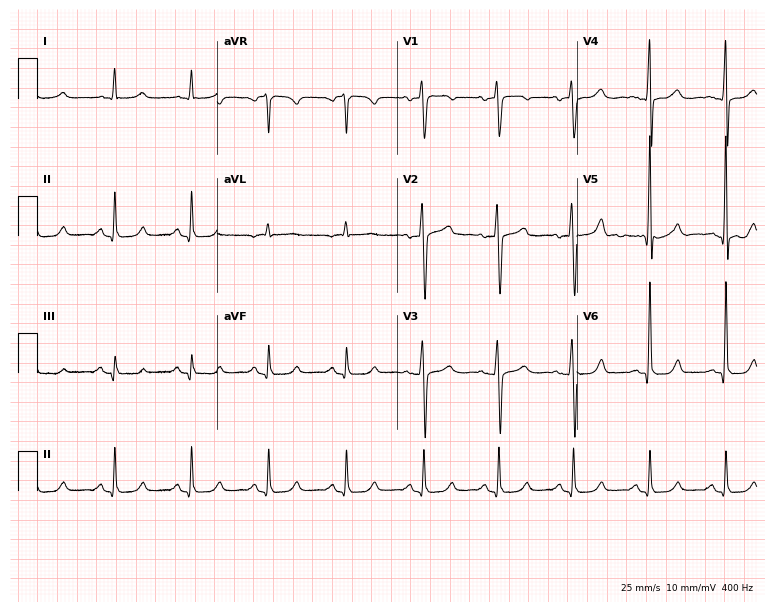
12-lead ECG from a woman, 49 years old (7.3-second recording at 400 Hz). No first-degree AV block, right bundle branch block, left bundle branch block, sinus bradycardia, atrial fibrillation or sinus tachycardia recorded for this tracing. Findings outside these six are not listed.